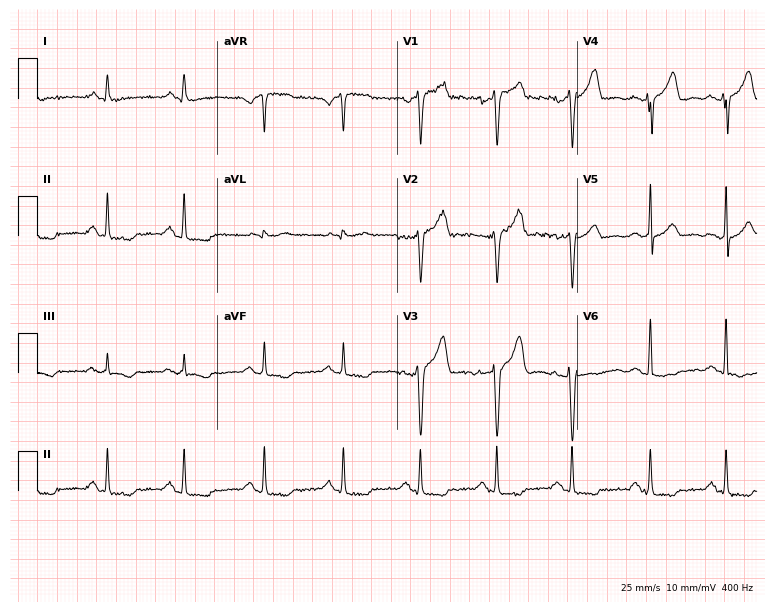
Electrocardiogram, a 50-year-old male. Of the six screened findings (first-degree AV block, right bundle branch block (RBBB), left bundle branch block (LBBB), sinus bradycardia, atrial fibrillation (AF), sinus tachycardia), none is recorded. Only these six findings were labelled.